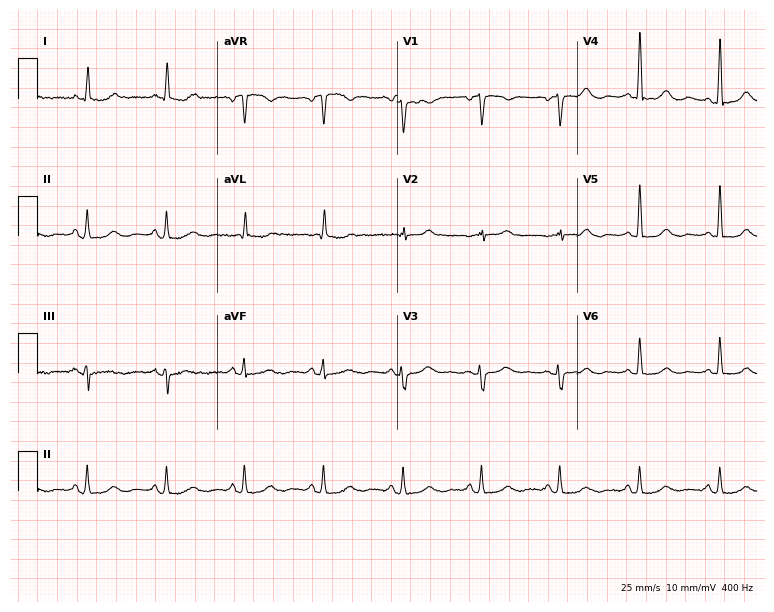
12-lead ECG (7.3-second recording at 400 Hz) from a 68-year-old female. Screened for six findings — first-degree AV block, right bundle branch block, left bundle branch block, sinus bradycardia, atrial fibrillation, sinus tachycardia — none is recorded.